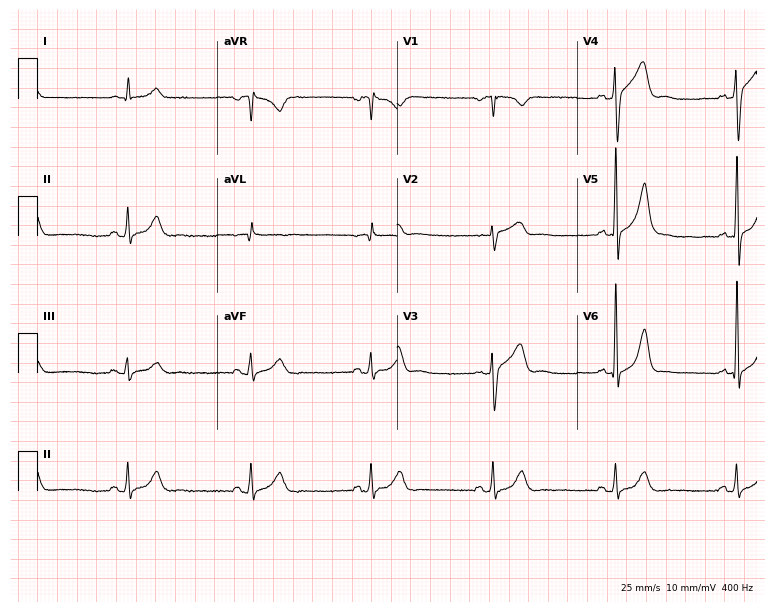
12-lead ECG (7.3-second recording at 400 Hz) from a 59-year-old male. Findings include sinus bradycardia (a sinus rate of 50 beats per minute or less).